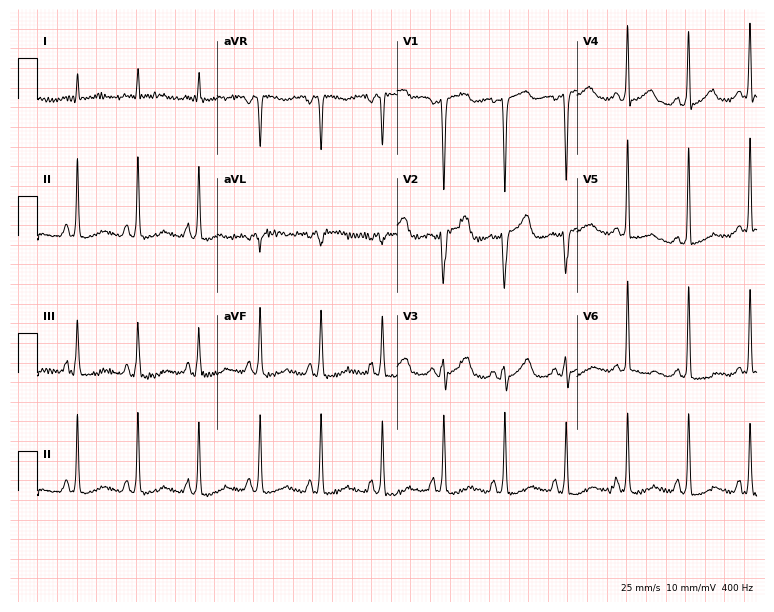
12-lead ECG from a female patient, 68 years old. Screened for six findings — first-degree AV block, right bundle branch block, left bundle branch block, sinus bradycardia, atrial fibrillation, sinus tachycardia — none is recorded.